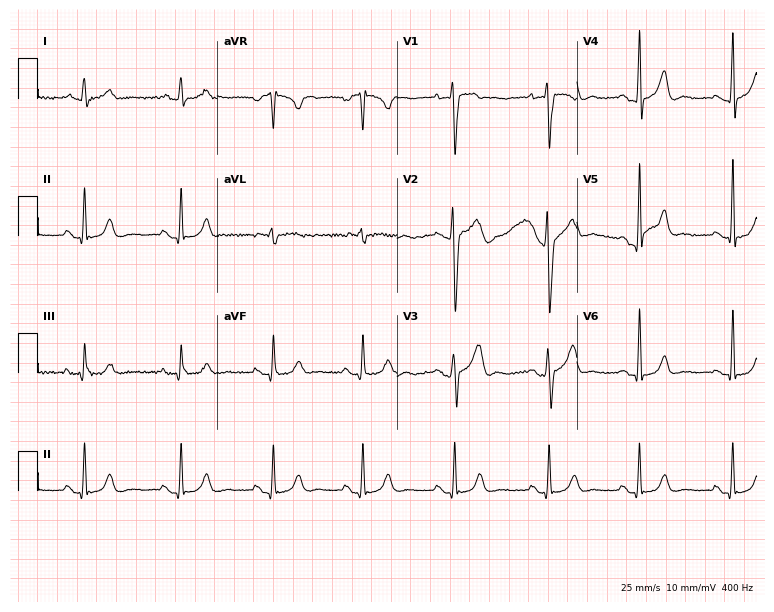
12-lead ECG from a 28-year-old male. Recorded interpretation: within normal limits.